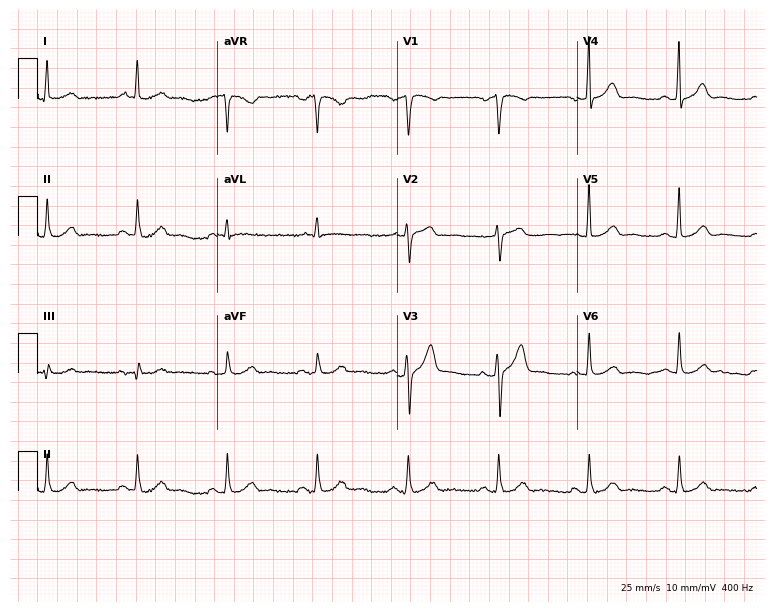
Electrocardiogram (7.3-second recording at 400 Hz), a 50-year-old female. Of the six screened findings (first-degree AV block, right bundle branch block, left bundle branch block, sinus bradycardia, atrial fibrillation, sinus tachycardia), none is recorded.